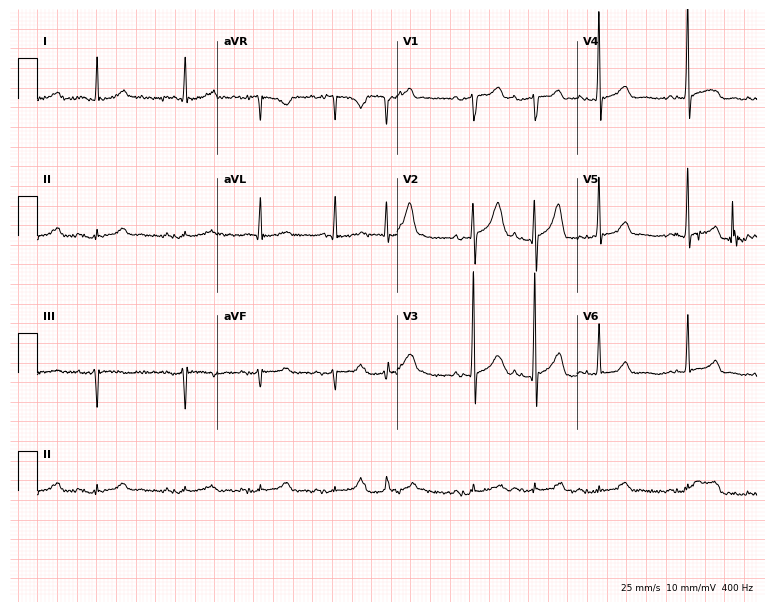
ECG (7.3-second recording at 400 Hz) — a male, 73 years old. Screened for six findings — first-degree AV block, right bundle branch block, left bundle branch block, sinus bradycardia, atrial fibrillation, sinus tachycardia — none is recorded. Findings outside these six are not listed.